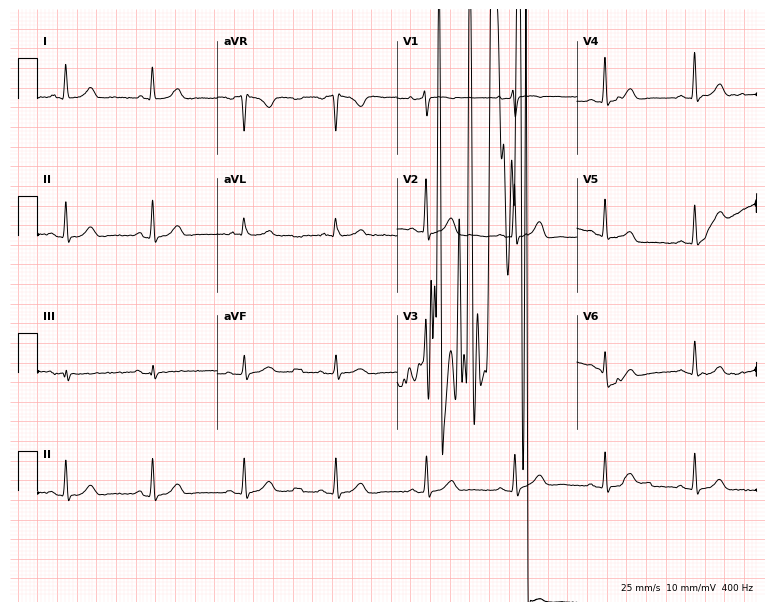
Resting 12-lead electrocardiogram (7.3-second recording at 400 Hz). Patient: a female, 58 years old. None of these six findings is recorded: first-degree AV block, right bundle branch block, left bundle branch block, sinus bradycardia, atrial fibrillation, sinus tachycardia.